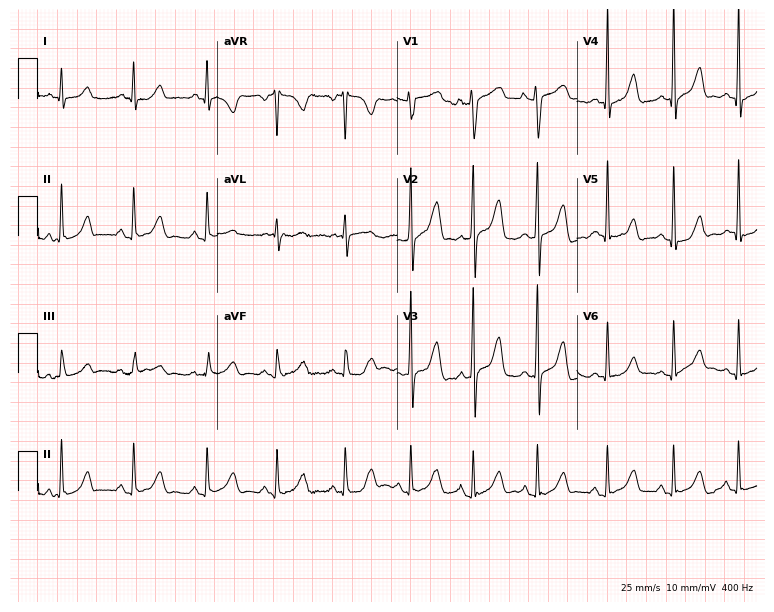
Standard 12-lead ECG recorded from a man, 22 years old. Read as a normal ECG.